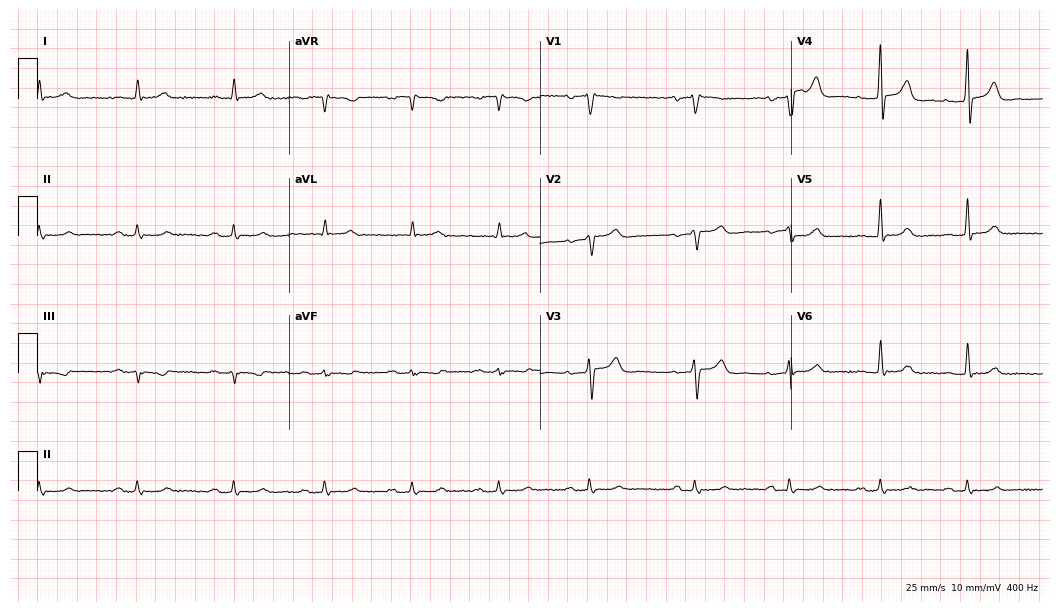
12-lead ECG from a male, 72 years old. Shows first-degree AV block.